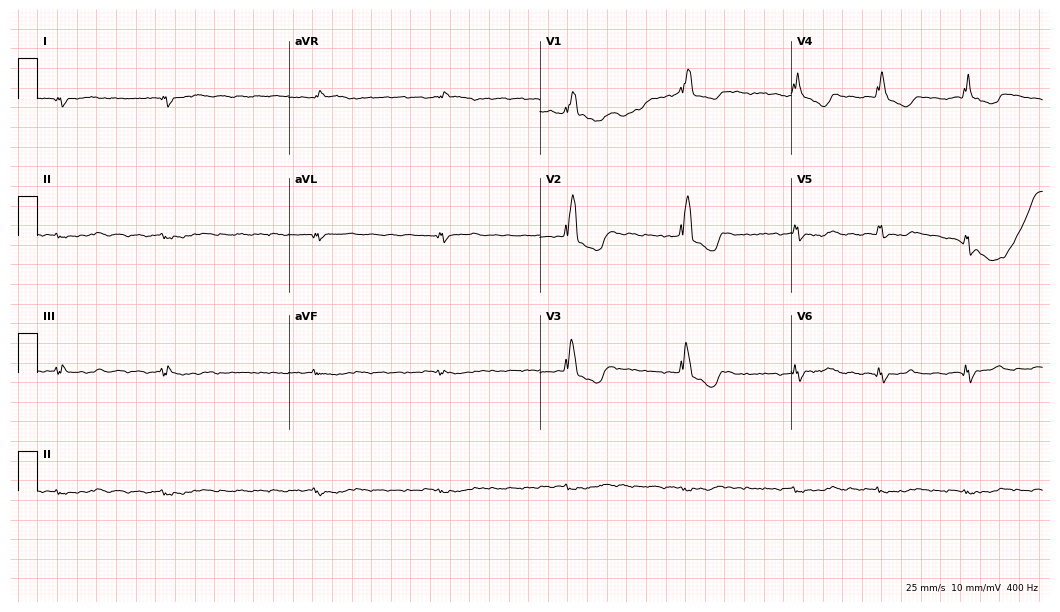
Standard 12-lead ECG recorded from a man, 81 years old. The tracing shows right bundle branch block, atrial fibrillation.